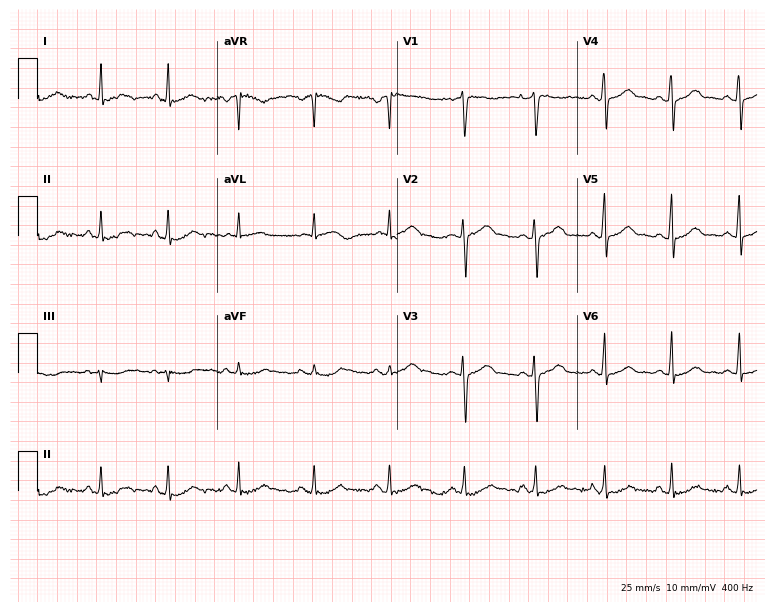
Resting 12-lead electrocardiogram (7.3-second recording at 400 Hz). Patient: a female, 42 years old. Read as a normal ECG.